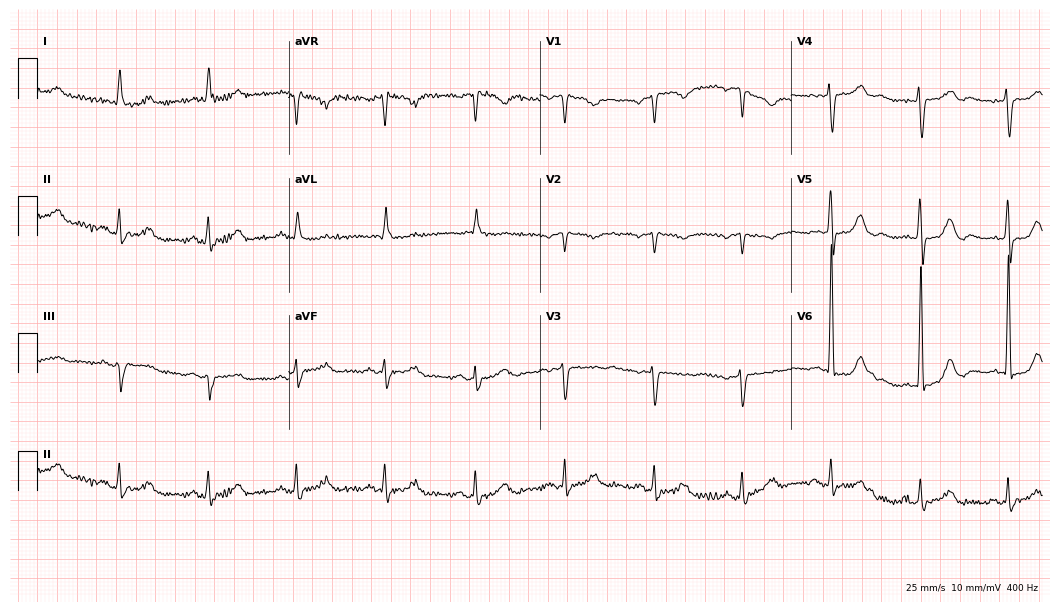
Resting 12-lead electrocardiogram (10.2-second recording at 400 Hz). Patient: a woman, 82 years old. None of these six findings is recorded: first-degree AV block, right bundle branch block, left bundle branch block, sinus bradycardia, atrial fibrillation, sinus tachycardia. Only these six findings were labelled.